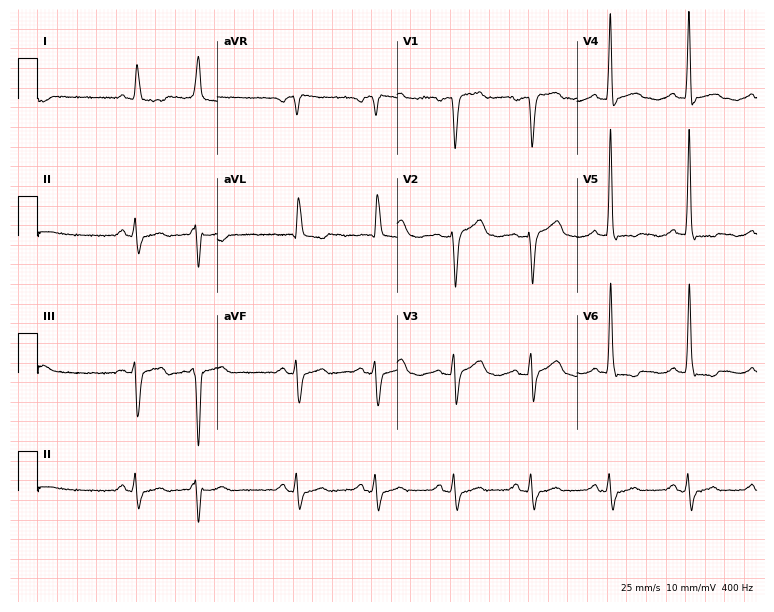
Resting 12-lead electrocardiogram (7.3-second recording at 400 Hz). Patient: a man, 85 years old. None of these six findings is recorded: first-degree AV block, right bundle branch block (RBBB), left bundle branch block (LBBB), sinus bradycardia, atrial fibrillation (AF), sinus tachycardia. Only these six findings were labelled.